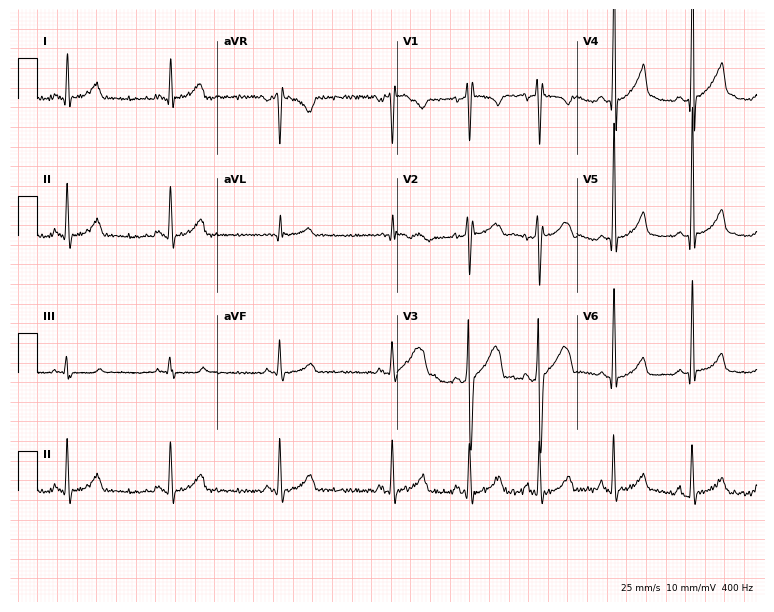
Resting 12-lead electrocardiogram. Patient: a 17-year-old man. Read as a normal ECG.